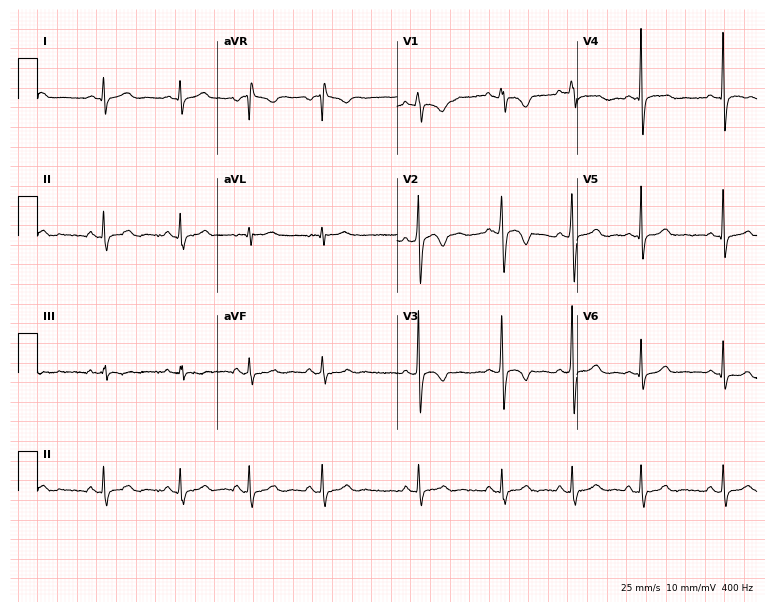
Electrocardiogram, a 31-year-old male patient. Overall reading on record: normal ECG.